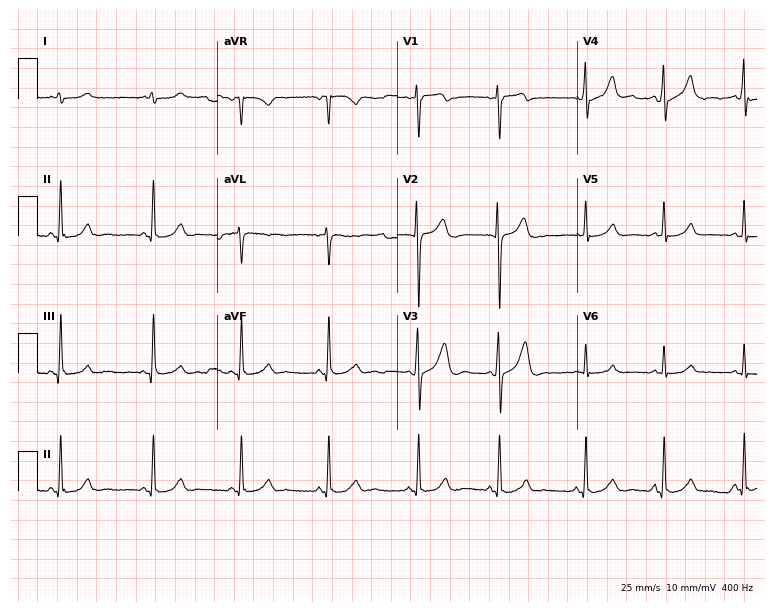
ECG — a man, 31 years old. Screened for six findings — first-degree AV block, right bundle branch block (RBBB), left bundle branch block (LBBB), sinus bradycardia, atrial fibrillation (AF), sinus tachycardia — none is recorded. Findings outside these six are not listed.